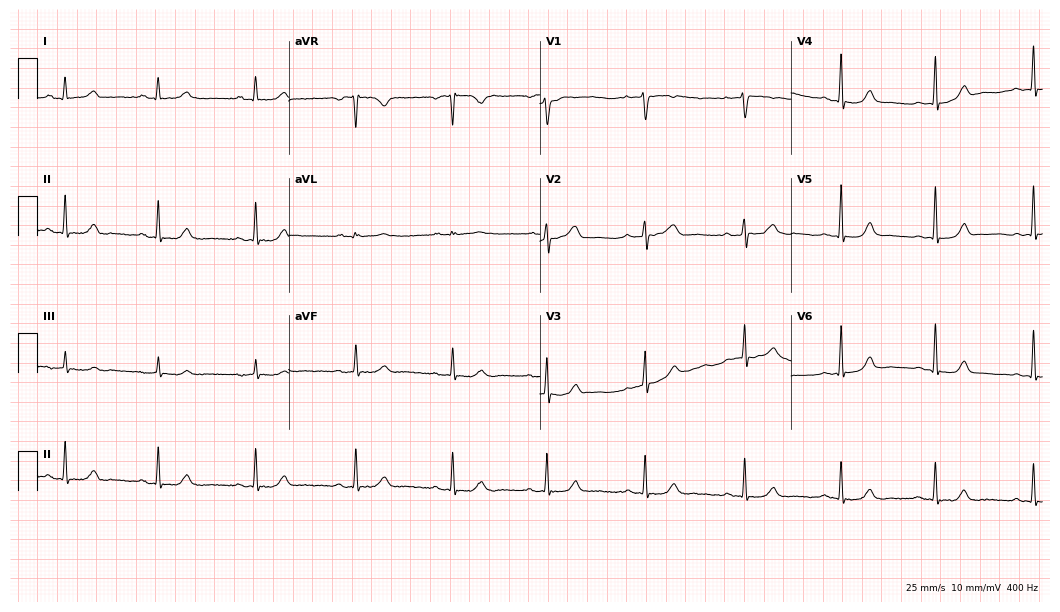
Resting 12-lead electrocardiogram. Patient: a woman, 50 years old. Read as a normal ECG.